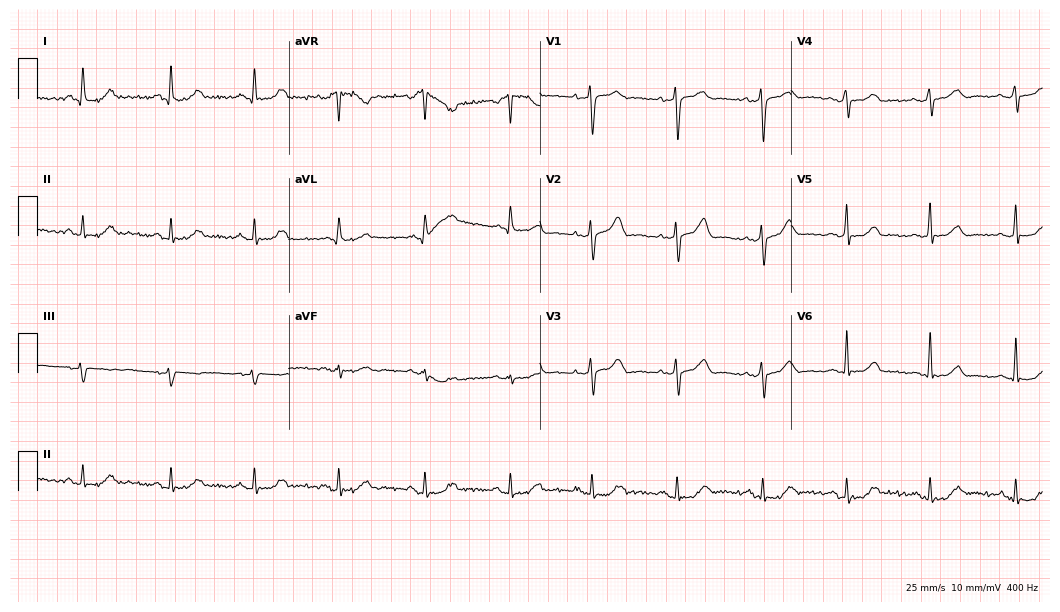
12-lead ECG (10.2-second recording at 400 Hz) from a 53-year-old woman. Labelled as a normal ECG.